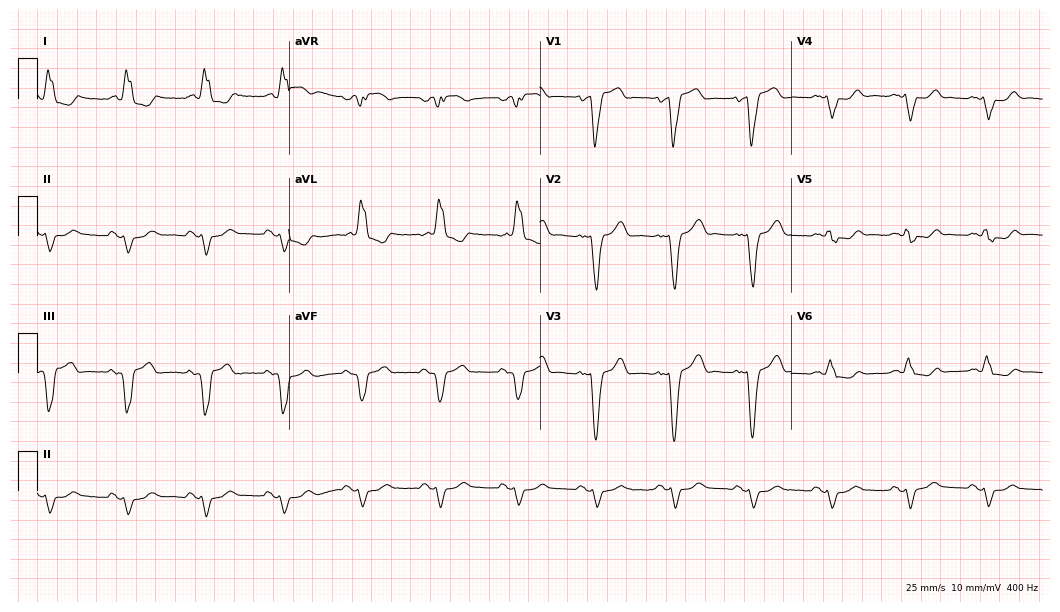
ECG (10.2-second recording at 400 Hz) — an 84-year-old female patient. Findings include left bundle branch block.